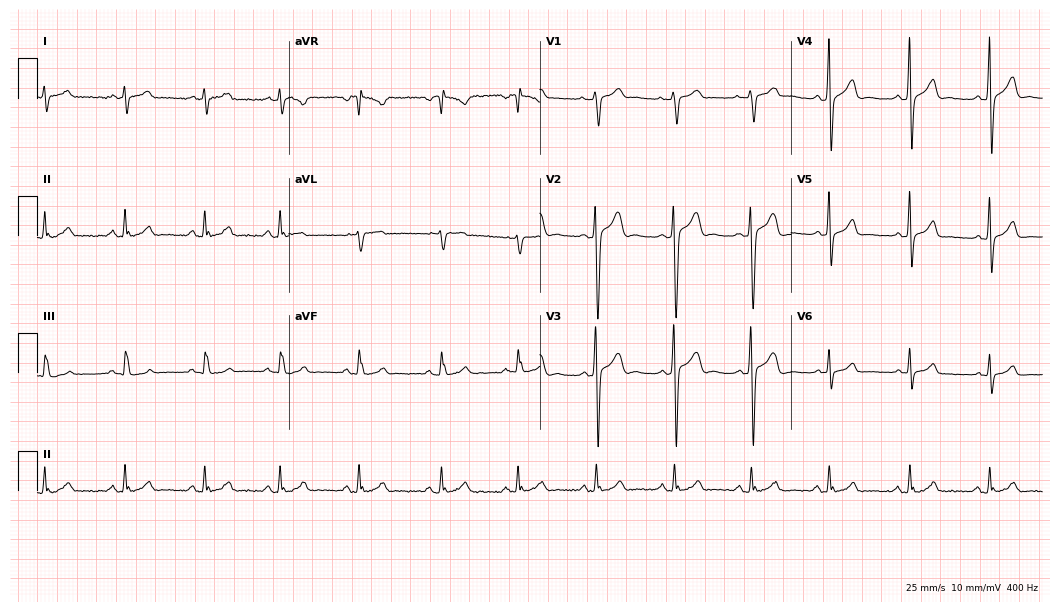
Resting 12-lead electrocardiogram (10.2-second recording at 400 Hz). Patient: a male, 30 years old. None of these six findings is recorded: first-degree AV block, right bundle branch block (RBBB), left bundle branch block (LBBB), sinus bradycardia, atrial fibrillation (AF), sinus tachycardia.